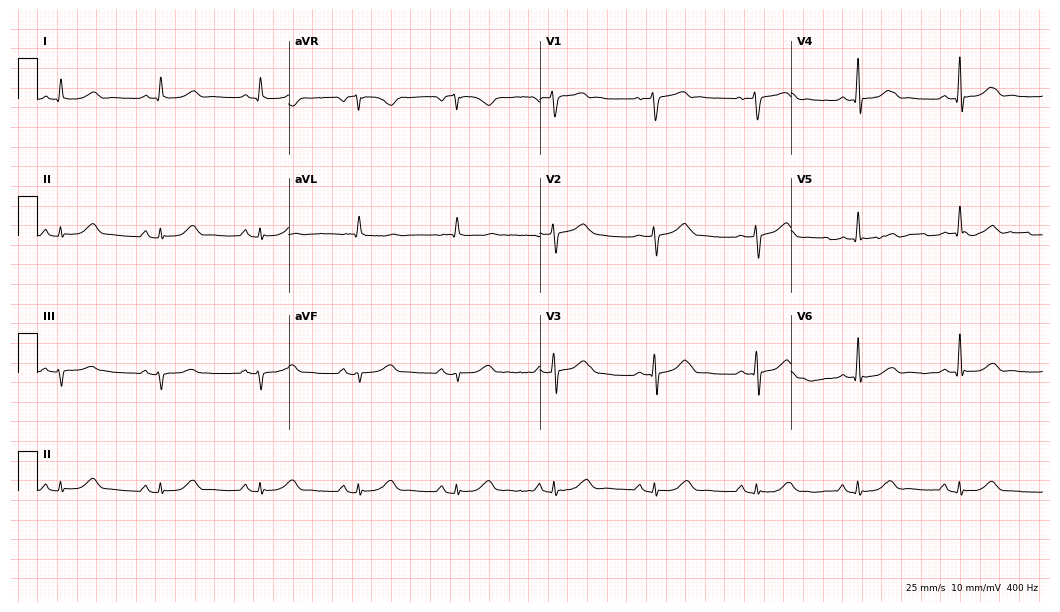
Resting 12-lead electrocardiogram. Patient: a 73-year-old male. None of these six findings is recorded: first-degree AV block, right bundle branch block, left bundle branch block, sinus bradycardia, atrial fibrillation, sinus tachycardia.